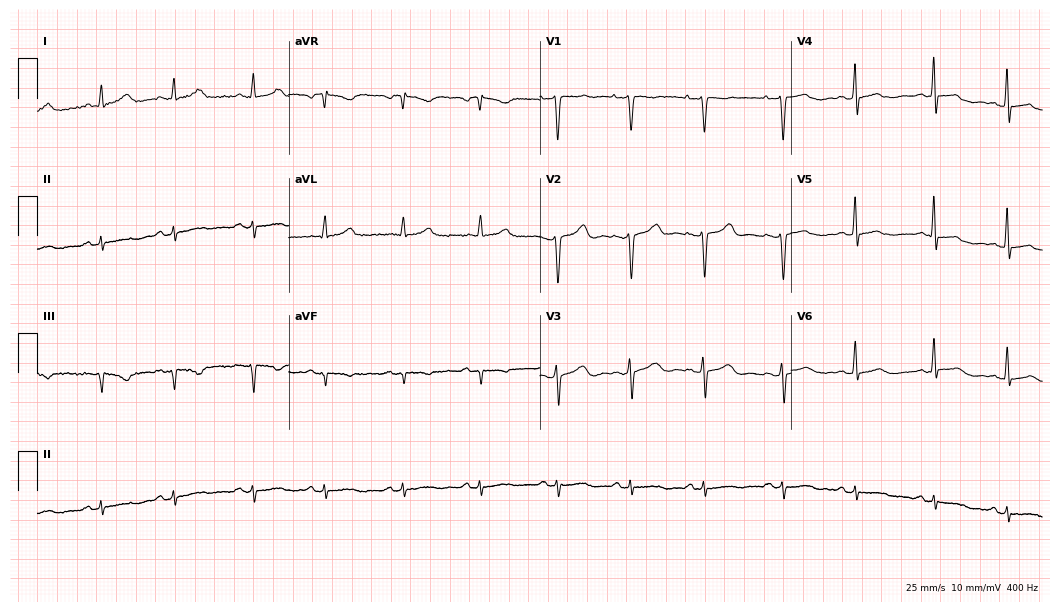
Electrocardiogram, a 41-year-old female. Overall reading on record: normal ECG.